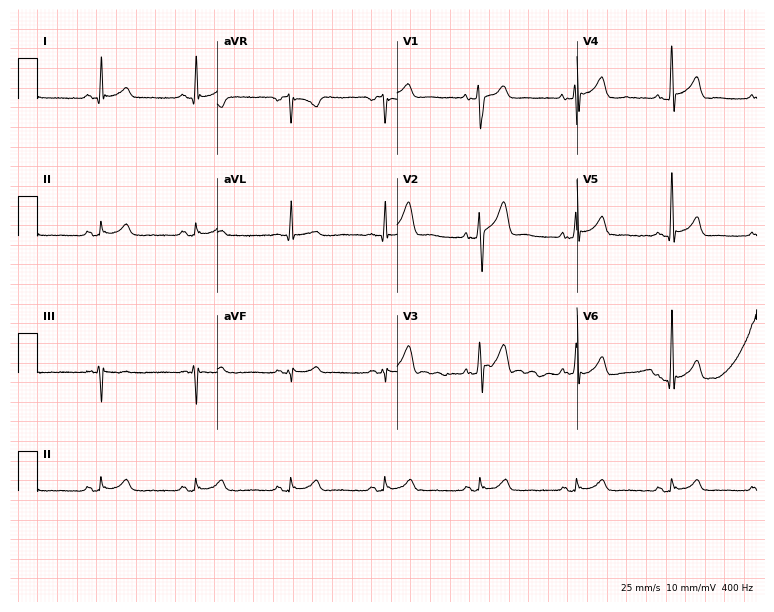
Standard 12-lead ECG recorded from a 33-year-old male patient (7.3-second recording at 400 Hz). None of these six findings is recorded: first-degree AV block, right bundle branch block (RBBB), left bundle branch block (LBBB), sinus bradycardia, atrial fibrillation (AF), sinus tachycardia.